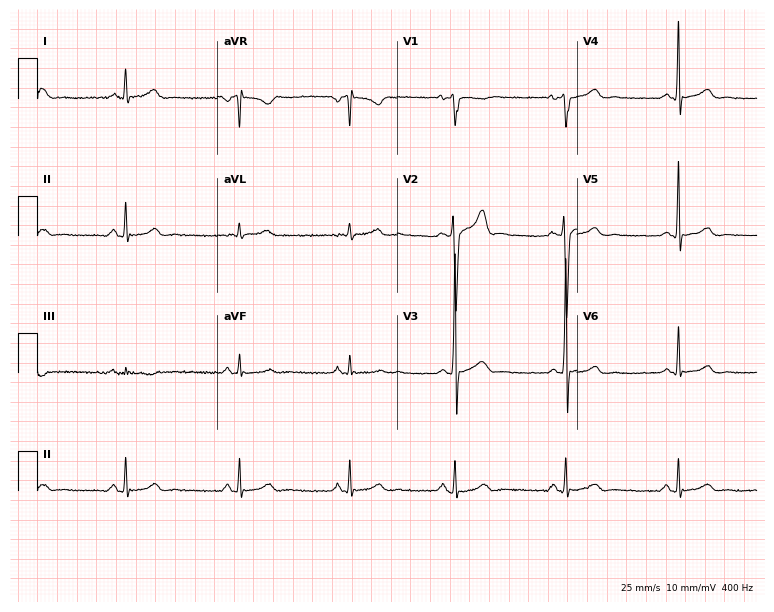
Resting 12-lead electrocardiogram (7.3-second recording at 400 Hz). Patient: a 29-year-old male. None of these six findings is recorded: first-degree AV block, right bundle branch block, left bundle branch block, sinus bradycardia, atrial fibrillation, sinus tachycardia.